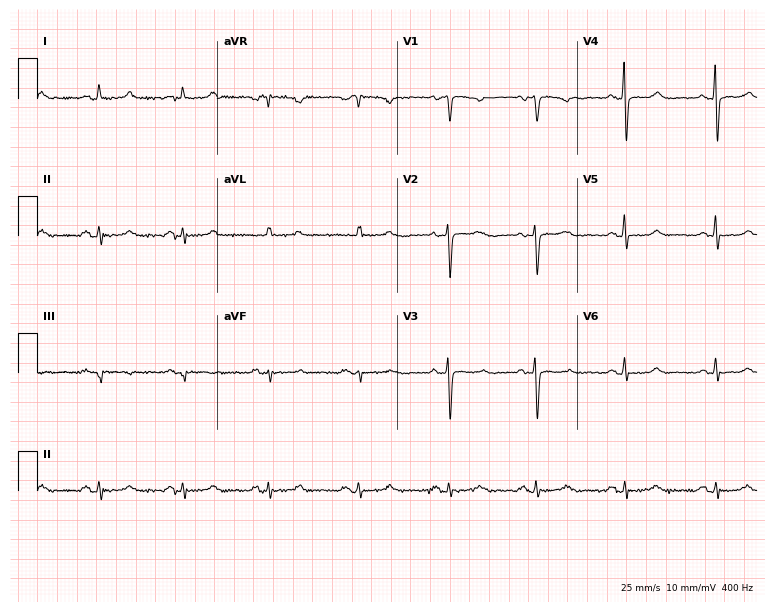
ECG — a female, 49 years old. Labelled as a normal ECG.